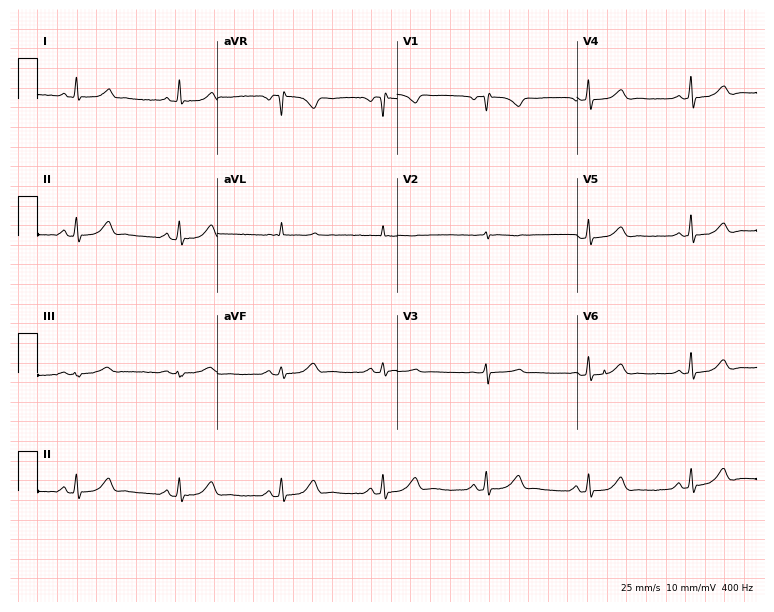
12-lead ECG (7.3-second recording at 400 Hz) from a female patient, 51 years old. Screened for six findings — first-degree AV block, right bundle branch block, left bundle branch block, sinus bradycardia, atrial fibrillation, sinus tachycardia — none is recorded. Only these six findings were labelled.